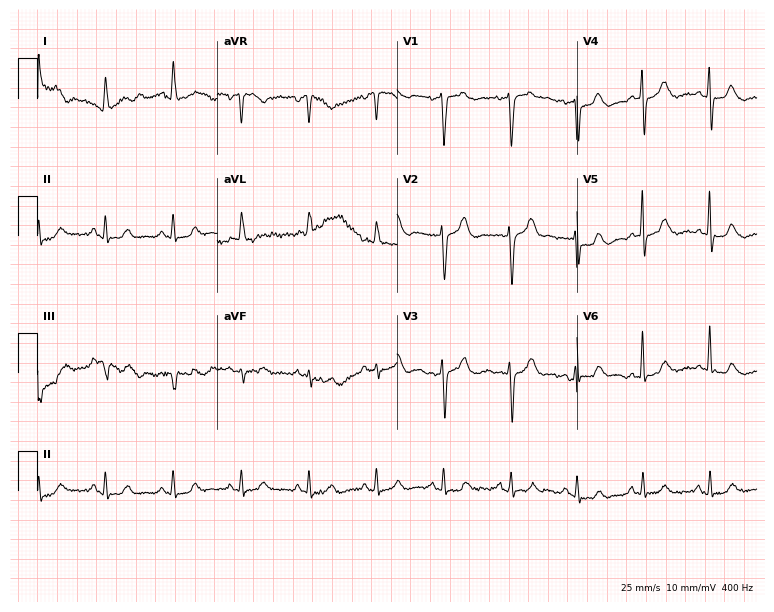
12-lead ECG (7.3-second recording at 400 Hz) from a 61-year-old woman. Labelled as a normal ECG.